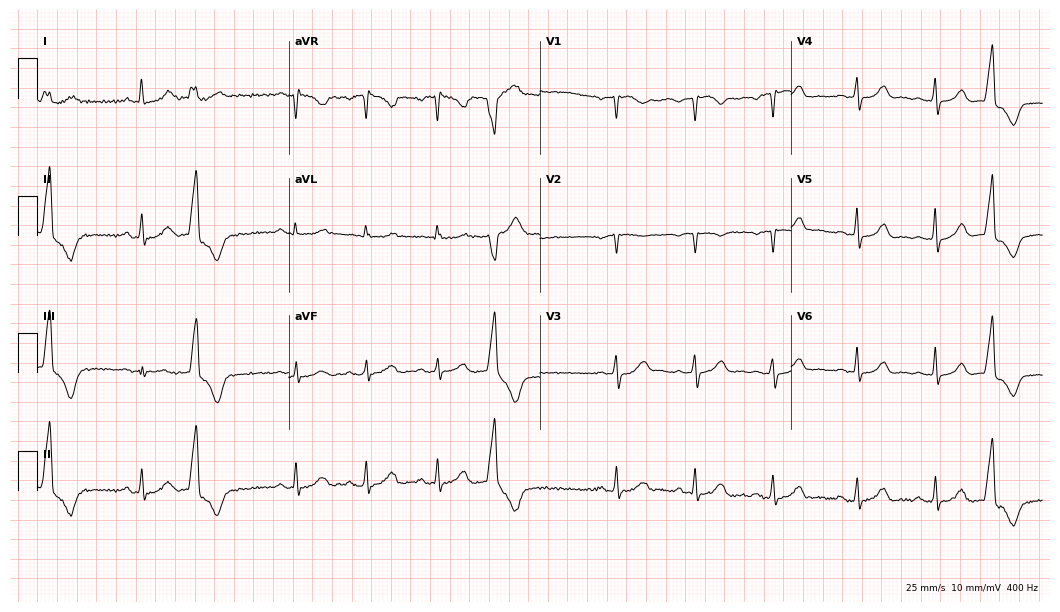
Electrocardiogram, a female patient, 50 years old. Of the six screened findings (first-degree AV block, right bundle branch block, left bundle branch block, sinus bradycardia, atrial fibrillation, sinus tachycardia), none is recorded. Findings outside these six are not listed.